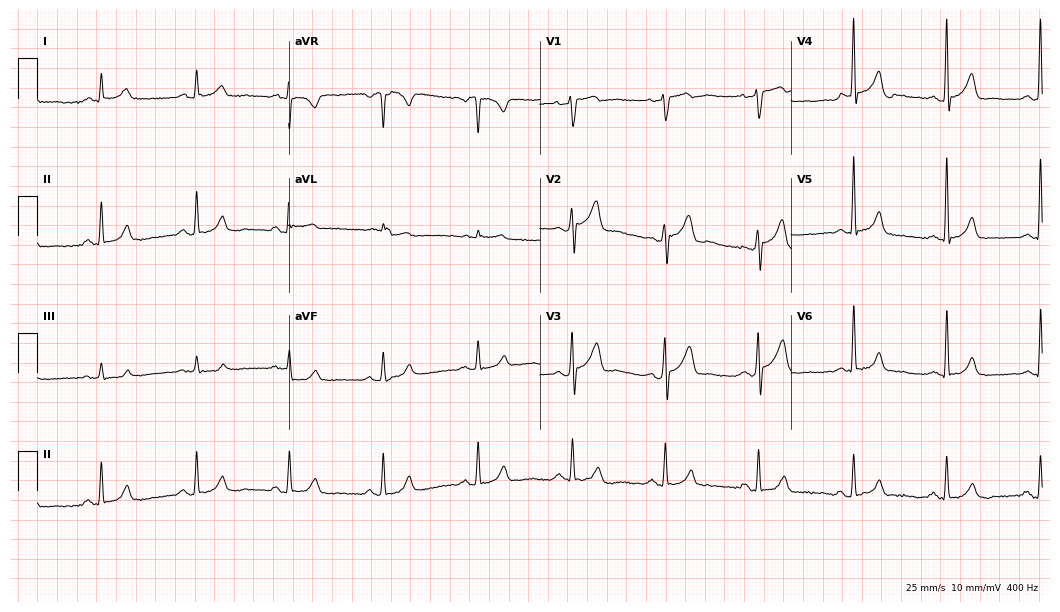
12-lead ECG from a male patient, 52 years old. Labelled as a normal ECG.